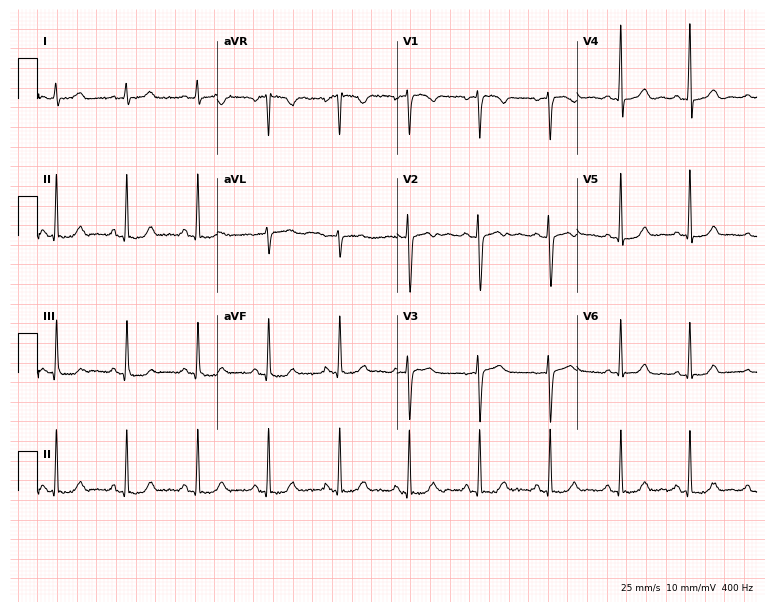
ECG (7.3-second recording at 400 Hz) — a 33-year-old female. Labelled as a normal ECG.